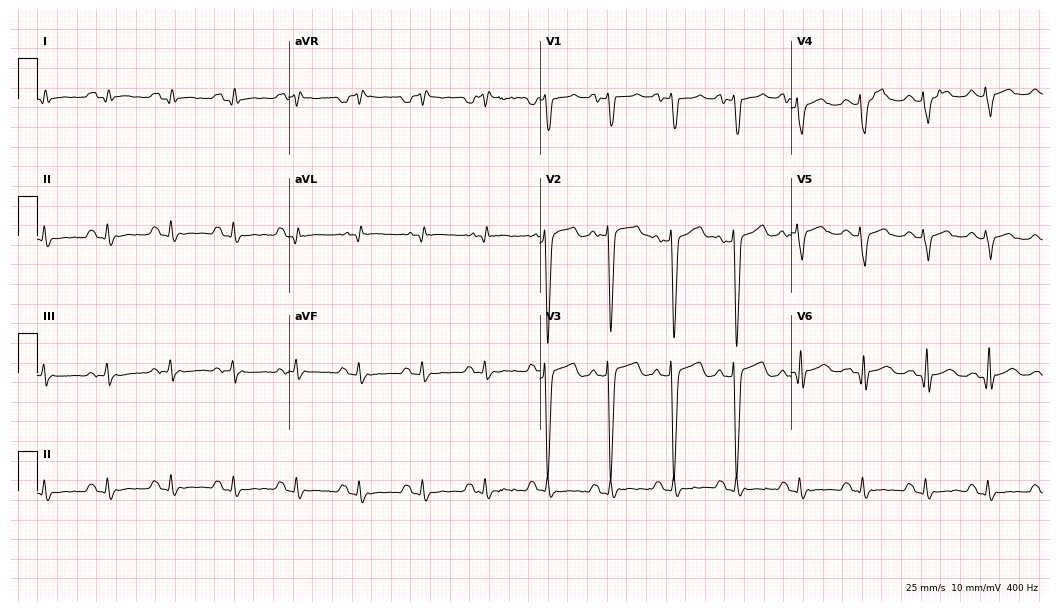
12-lead ECG from a 26-year-old man. No first-degree AV block, right bundle branch block (RBBB), left bundle branch block (LBBB), sinus bradycardia, atrial fibrillation (AF) or sinus tachycardia recorded for this tracing. Findings outside these six are not listed.